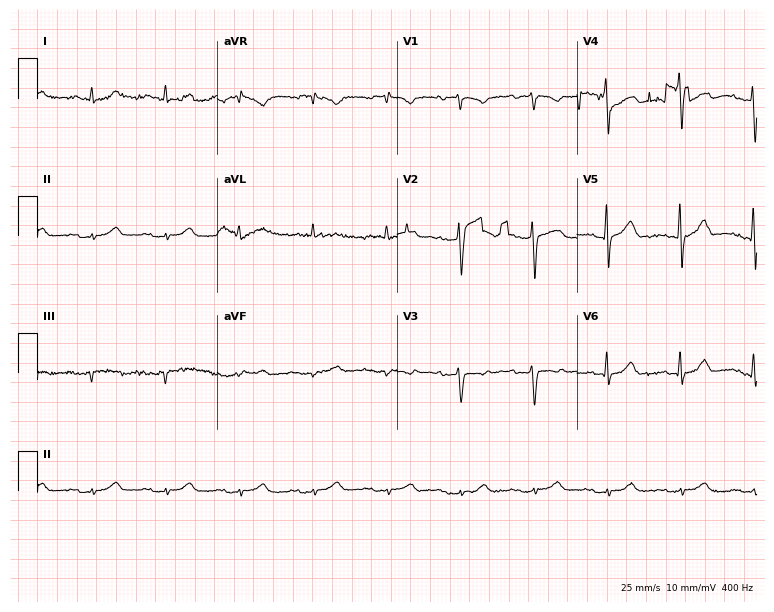
ECG — a 59-year-old man. Screened for six findings — first-degree AV block, right bundle branch block, left bundle branch block, sinus bradycardia, atrial fibrillation, sinus tachycardia — none is recorded.